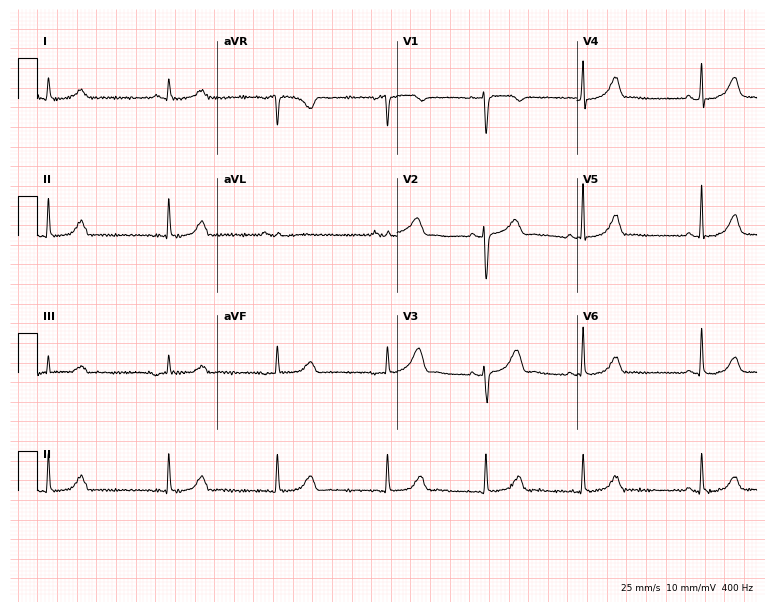
Electrocardiogram (7.3-second recording at 400 Hz), a 53-year-old woman. Of the six screened findings (first-degree AV block, right bundle branch block, left bundle branch block, sinus bradycardia, atrial fibrillation, sinus tachycardia), none is recorded.